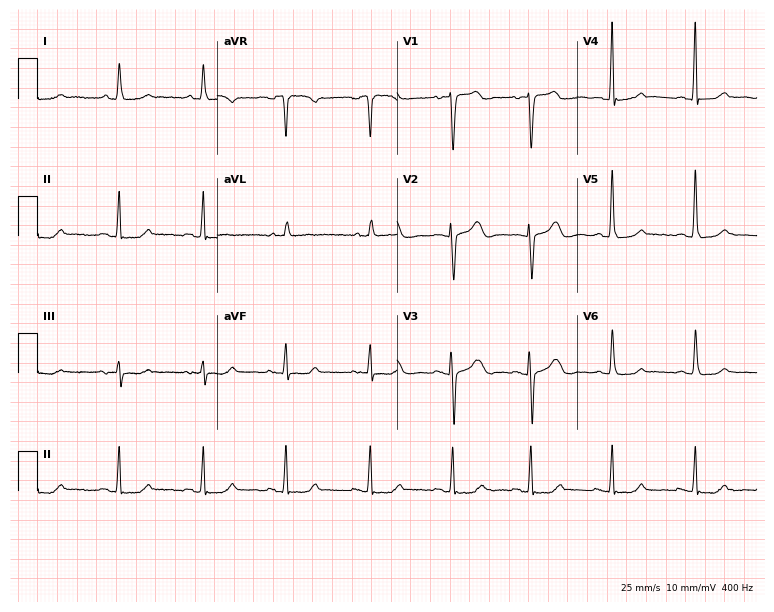
Electrocardiogram, a 52-year-old woman. Overall reading on record: normal ECG.